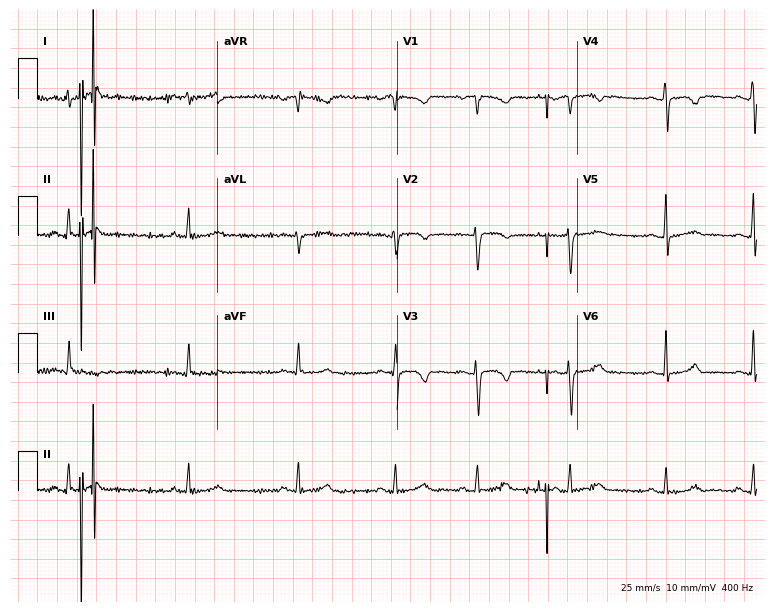
Resting 12-lead electrocardiogram. Patient: a female, 21 years old. Read as a normal ECG.